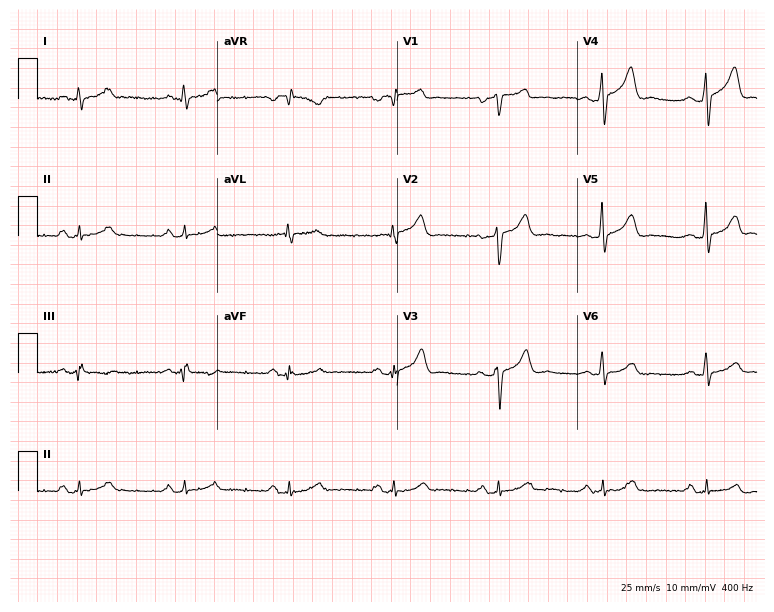
ECG — a 55-year-old male patient. Labelled as a normal ECG.